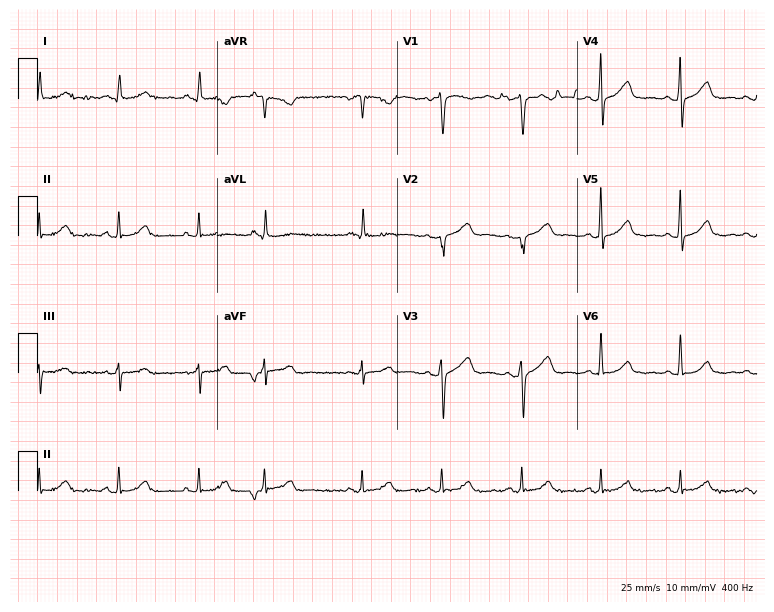
Resting 12-lead electrocardiogram (7.3-second recording at 400 Hz). Patient: a 54-year-old female. Read as a normal ECG.